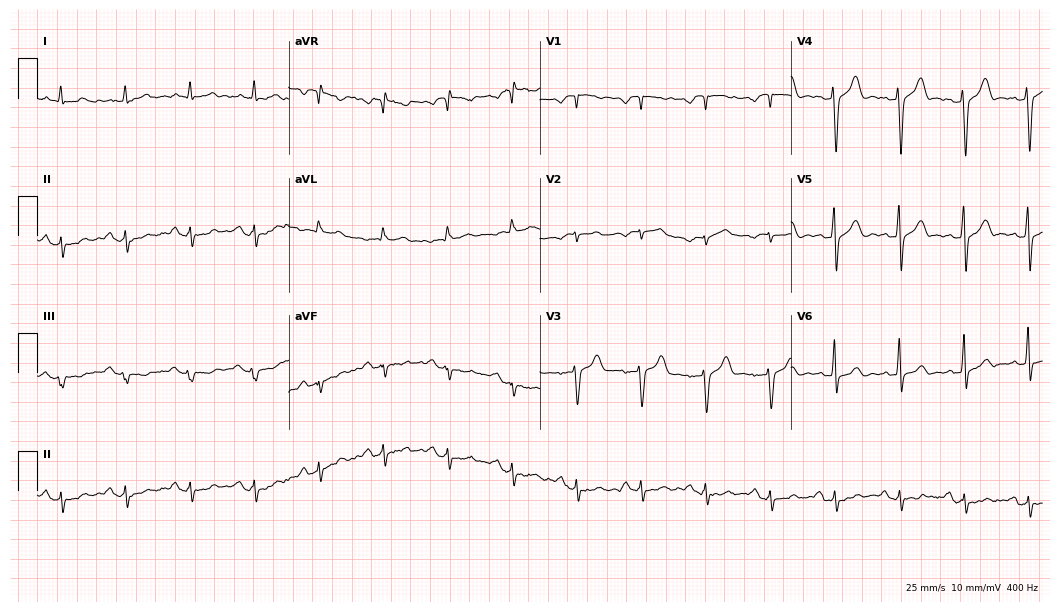
Resting 12-lead electrocardiogram (10.2-second recording at 400 Hz). Patient: a male, 74 years old. None of these six findings is recorded: first-degree AV block, right bundle branch block, left bundle branch block, sinus bradycardia, atrial fibrillation, sinus tachycardia.